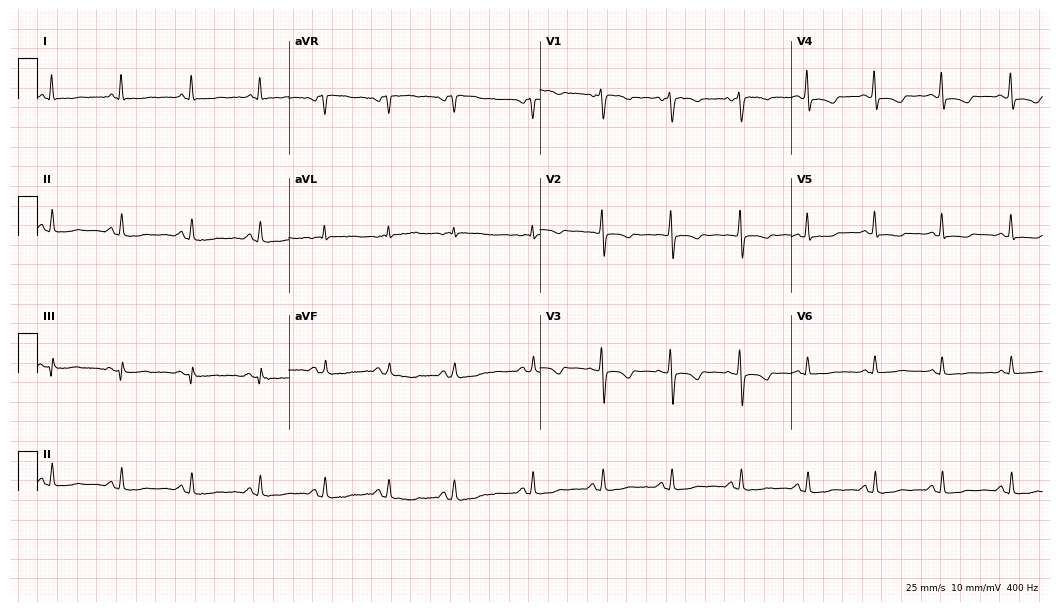
ECG (10.2-second recording at 400 Hz) — a female, 41 years old. Screened for six findings — first-degree AV block, right bundle branch block, left bundle branch block, sinus bradycardia, atrial fibrillation, sinus tachycardia — none is recorded.